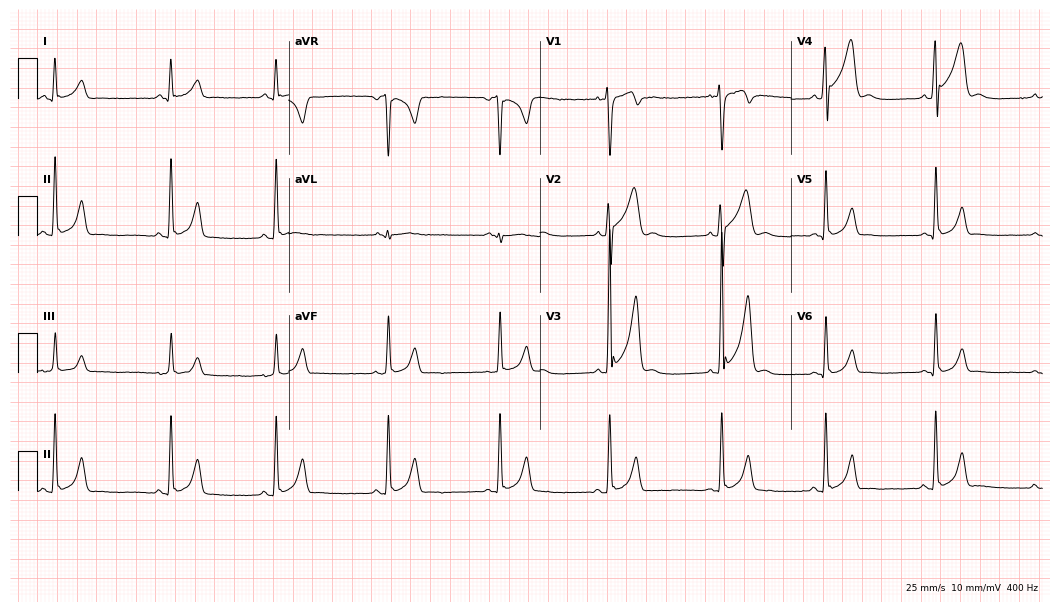
ECG — an 18-year-old man. Labelled as a normal ECG.